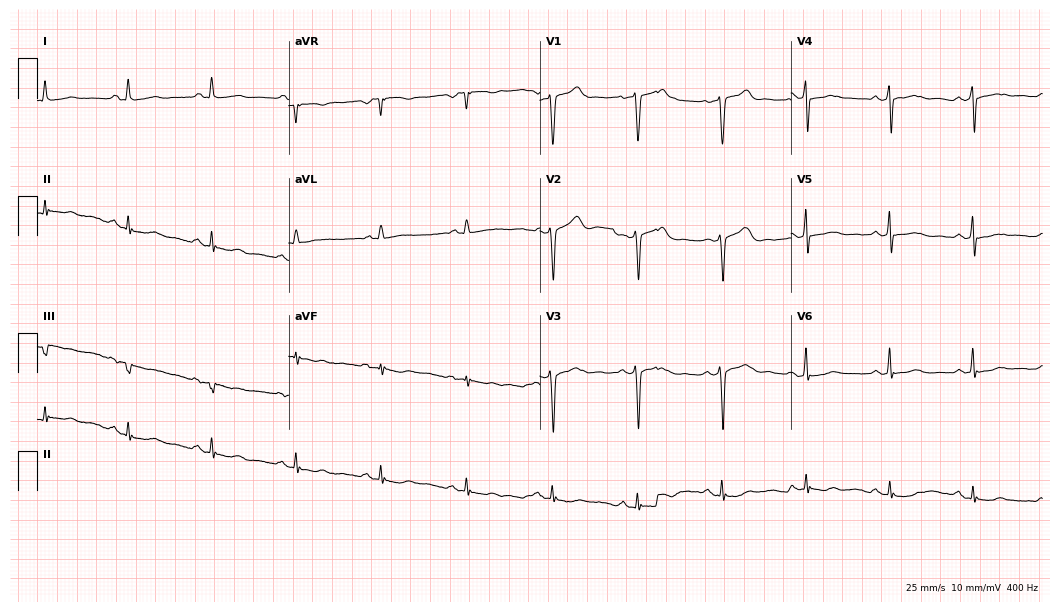
Electrocardiogram (10.2-second recording at 400 Hz), a woman, 60 years old. Of the six screened findings (first-degree AV block, right bundle branch block (RBBB), left bundle branch block (LBBB), sinus bradycardia, atrial fibrillation (AF), sinus tachycardia), none is recorded.